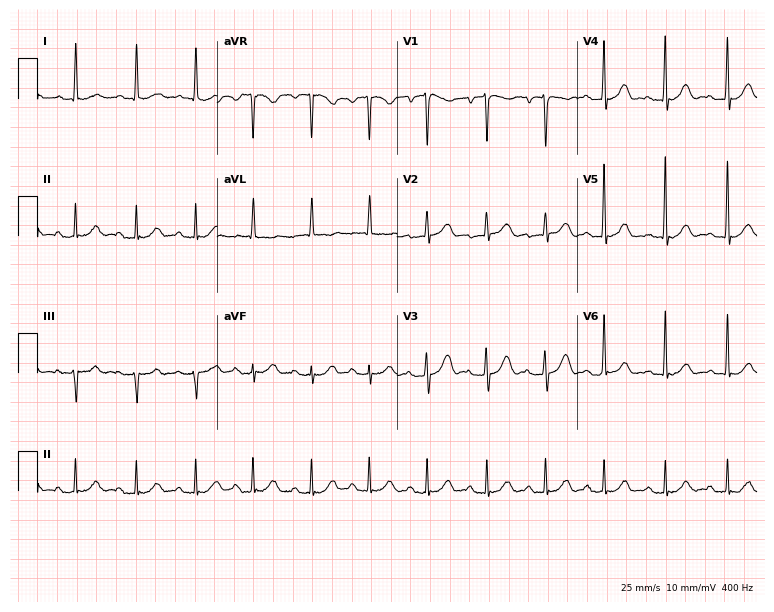
ECG — a female, 61 years old. Screened for six findings — first-degree AV block, right bundle branch block, left bundle branch block, sinus bradycardia, atrial fibrillation, sinus tachycardia — none is recorded.